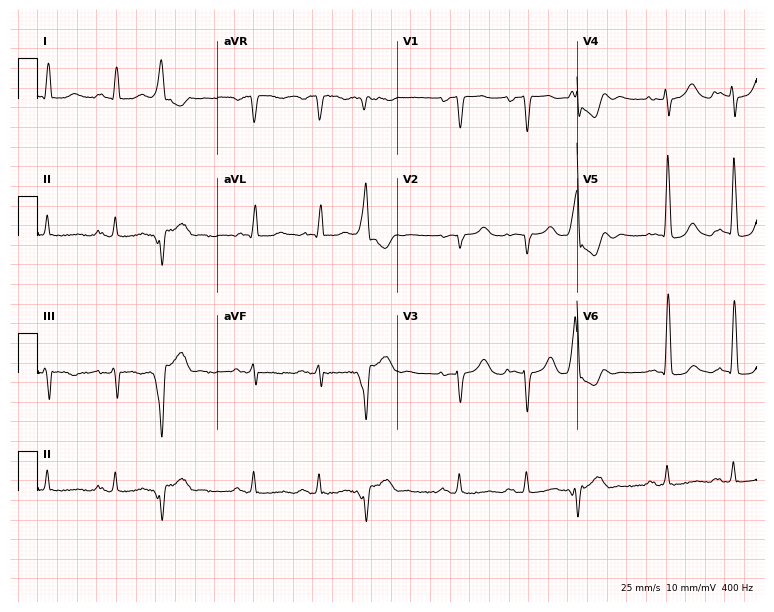
12-lead ECG (7.3-second recording at 400 Hz) from a male patient, 75 years old. Screened for six findings — first-degree AV block, right bundle branch block, left bundle branch block, sinus bradycardia, atrial fibrillation, sinus tachycardia — none is recorded.